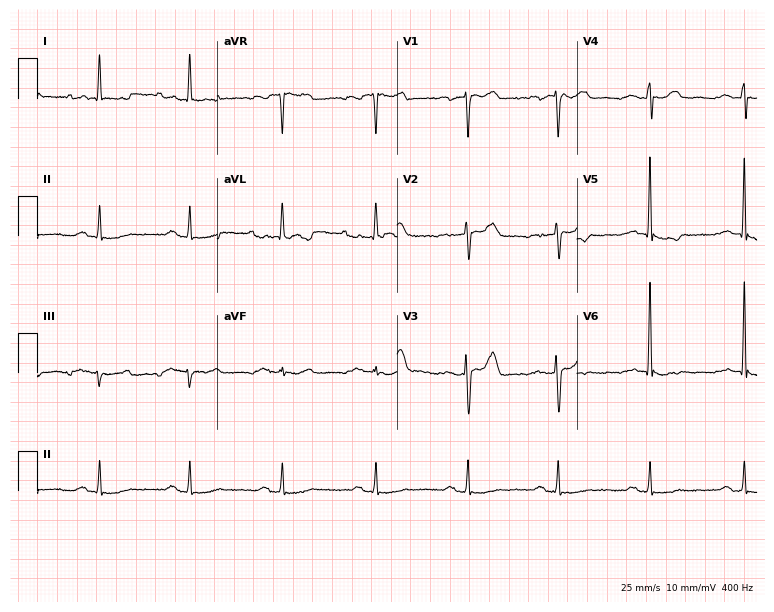
12-lead ECG from a male, 73 years old. Screened for six findings — first-degree AV block, right bundle branch block, left bundle branch block, sinus bradycardia, atrial fibrillation, sinus tachycardia — none is recorded. Only these six findings were labelled.